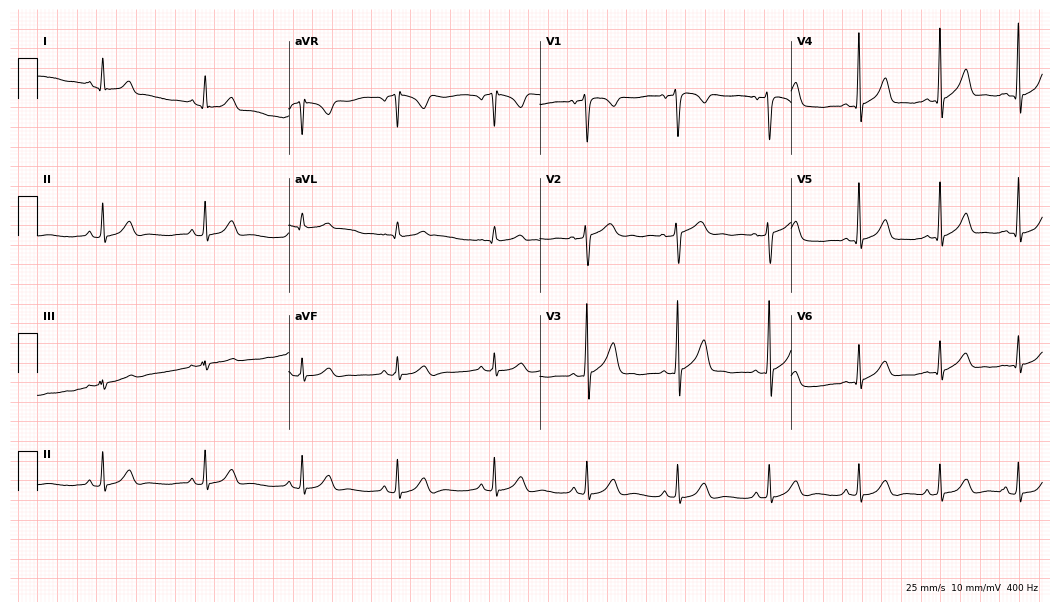
Electrocardiogram (10.2-second recording at 400 Hz), a male, 24 years old. Of the six screened findings (first-degree AV block, right bundle branch block, left bundle branch block, sinus bradycardia, atrial fibrillation, sinus tachycardia), none is recorded. Other findings, if any, are not listed.